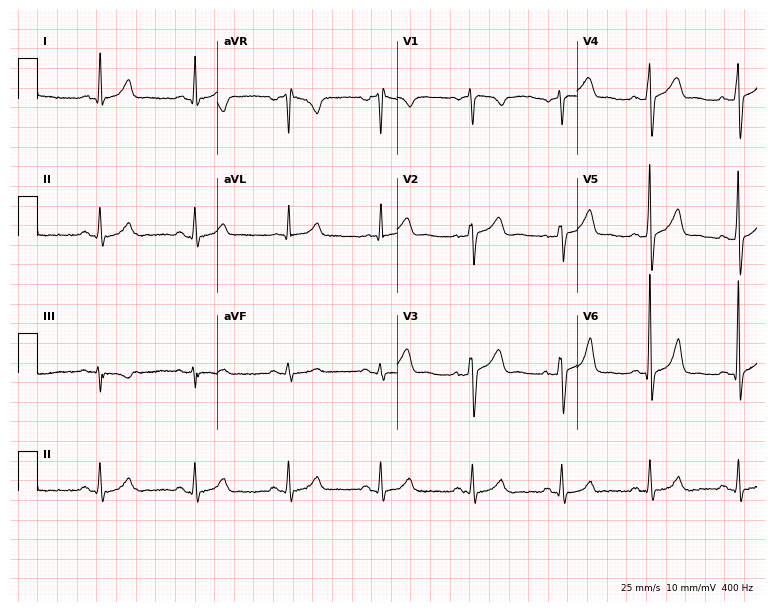
Standard 12-lead ECG recorded from a 40-year-old man (7.3-second recording at 400 Hz). Read as a normal ECG.